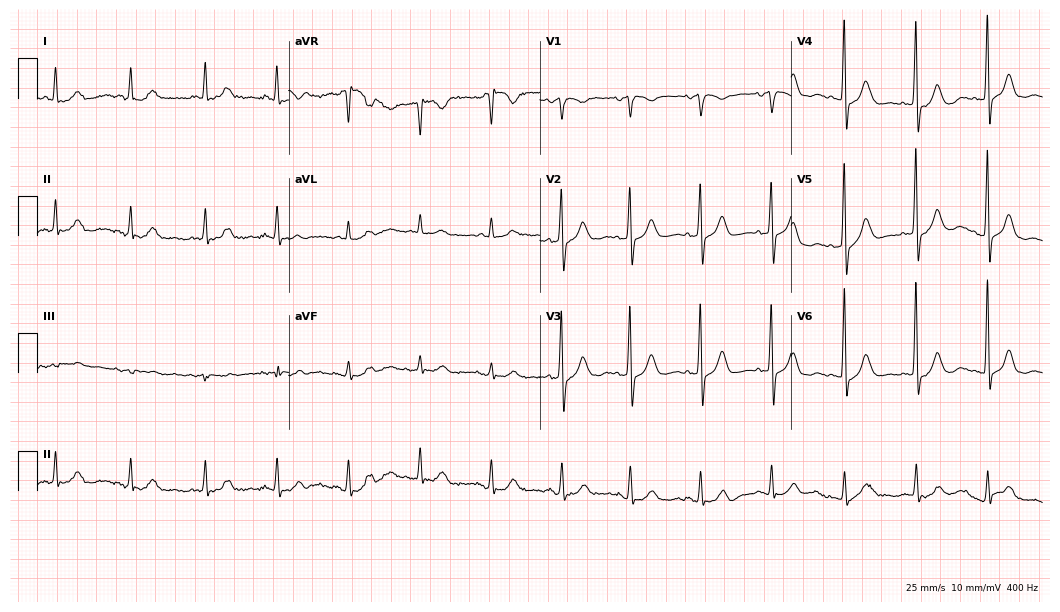
ECG — a 72-year-old woman. Labelled as a normal ECG.